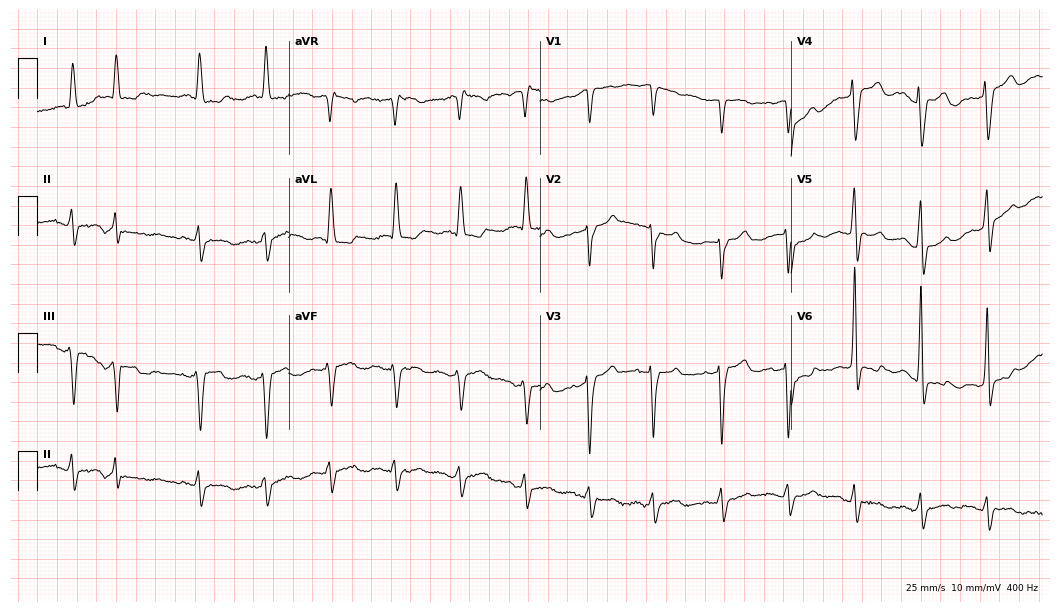
12-lead ECG (10.2-second recording at 400 Hz) from a 65-year-old female. Screened for six findings — first-degree AV block, right bundle branch block, left bundle branch block, sinus bradycardia, atrial fibrillation, sinus tachycardia — none is recorded.